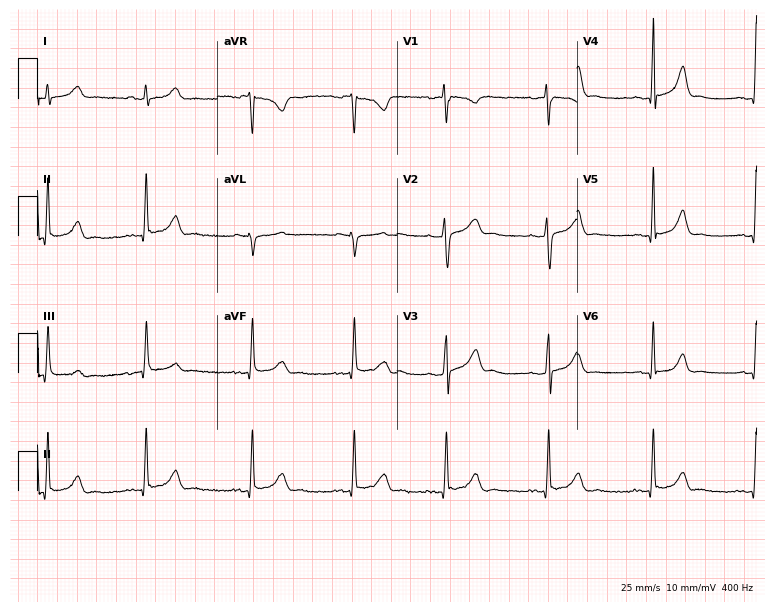
Standard 12-lead ECG recorded from a 31-year-old male patient. Read as a normal ECG.